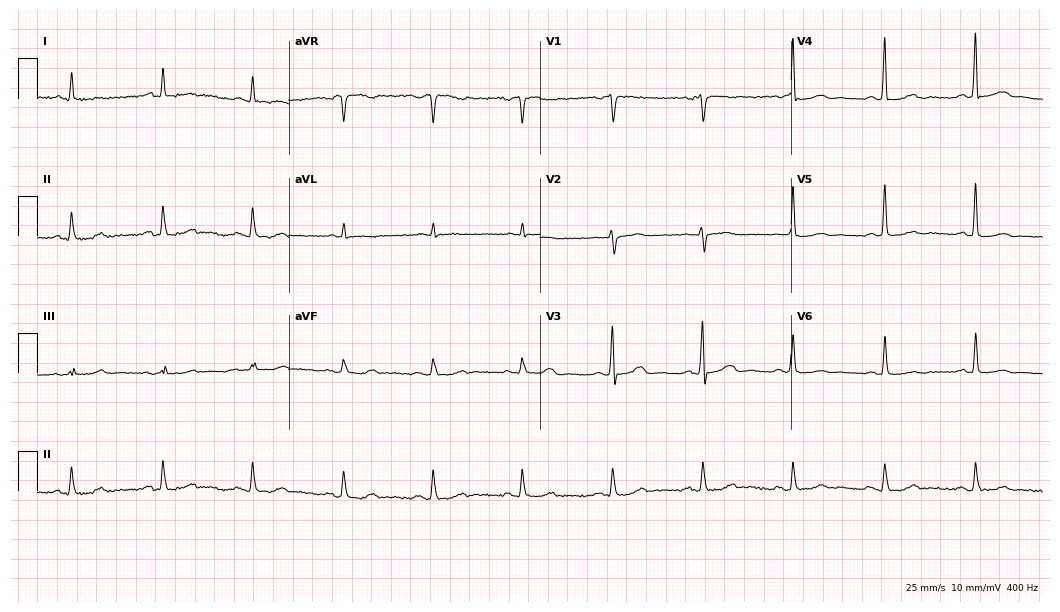
Electrocardiogram, a man, 73 years old. Of the six screened findings (first-degree AV block, right bundle branch block, left bundle branch block, sinus bradycardia, atrial fibrillation, sinus tachycardia), none is recorded.